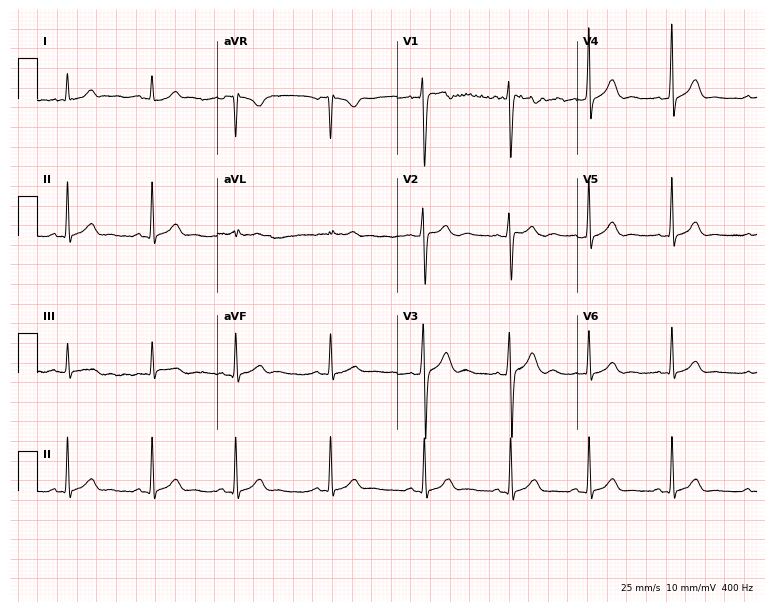
12-lead ECG from a man, 19 years old (7.3-second recording at 400 Hz). No first-degree AV block, right bundle branch block (RBBB), left bundle branch block (LBBB), sinus bradycardia, atrial fibrillation (AF) or sinus tachycardia recorded for this tracing.